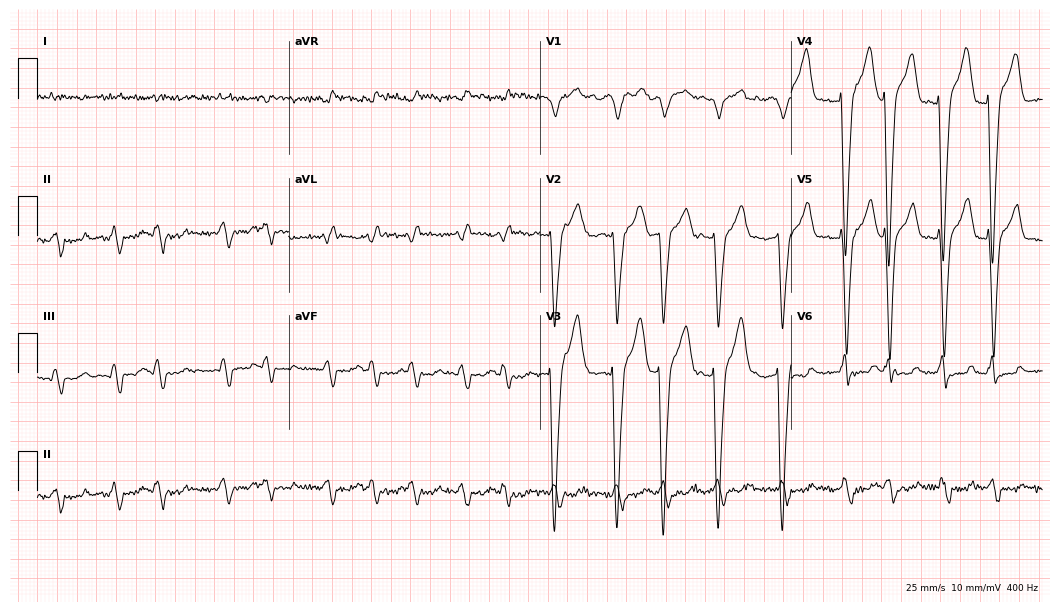
Standard 12-lead ECG recorded from a male patient, 79 years old (10.2-second recording at 400 Hz). None of these six findings is recorded: first-degree AV block, right bundle branch block (RBBB), left bundle branch block (LBBB), sinus bradycardia, atrial fibrillation (AF), sinus tachycardia. Other findings, if any, are not listed.